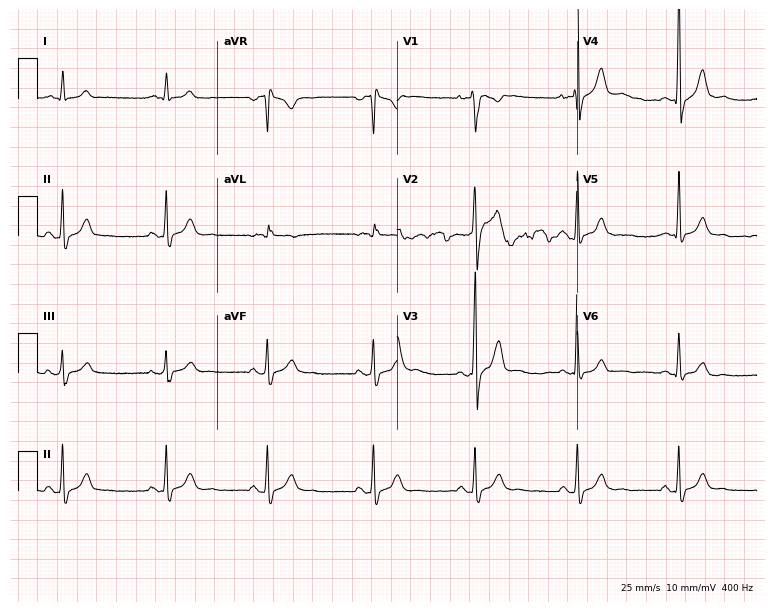
12-lead ECG (7.3-second recording at 400 Hz) from a man, 42 years old. Labelled as a normal ECG.